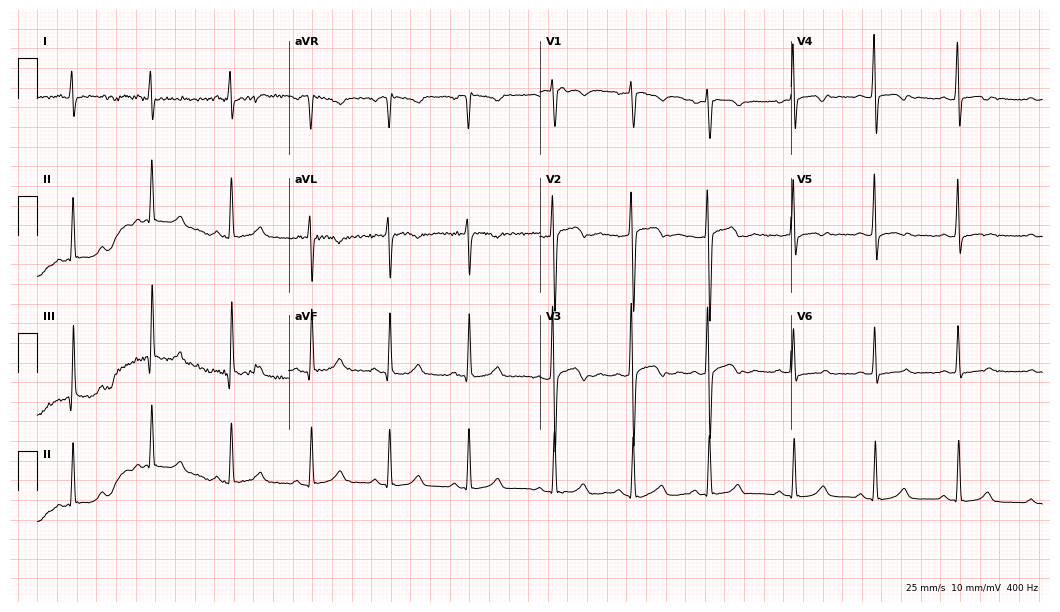
Resting 12-lead electrocardiogram. Patient: a female, 31 years old. Read as a normal ECG.